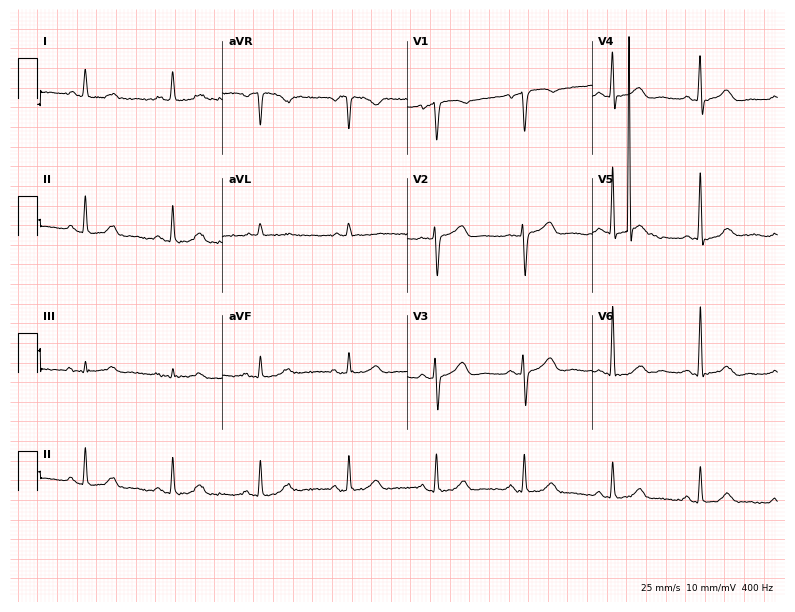
Standard 12-lead ECG recorded from a 71-year-old woman (7.5-second recording at 400 Hz). Read as a normal ECG.